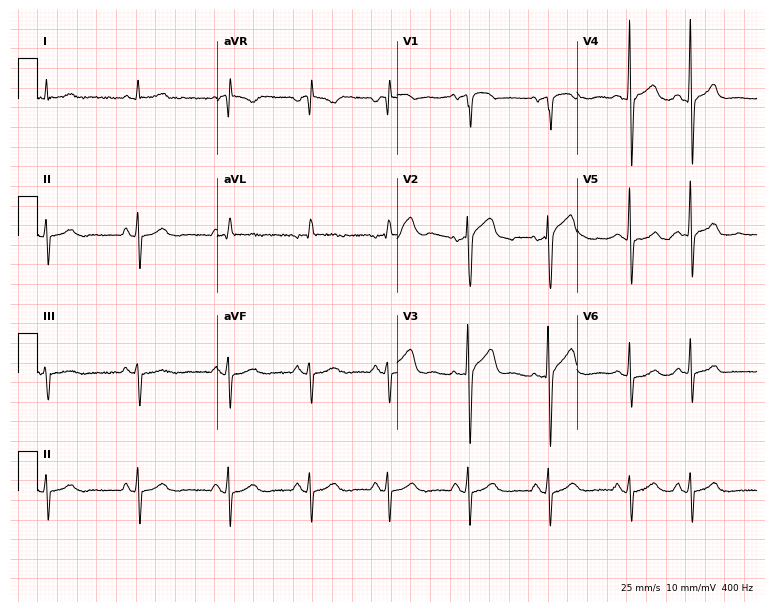
Standard 12-lead ECG recorded from a man, 79 years old. None of these six findings is recorded: first-degree AV block, right bundle branch block, left bundle branch block, sinus bradycardia, atrial fibrillation, sinus tachycardia.